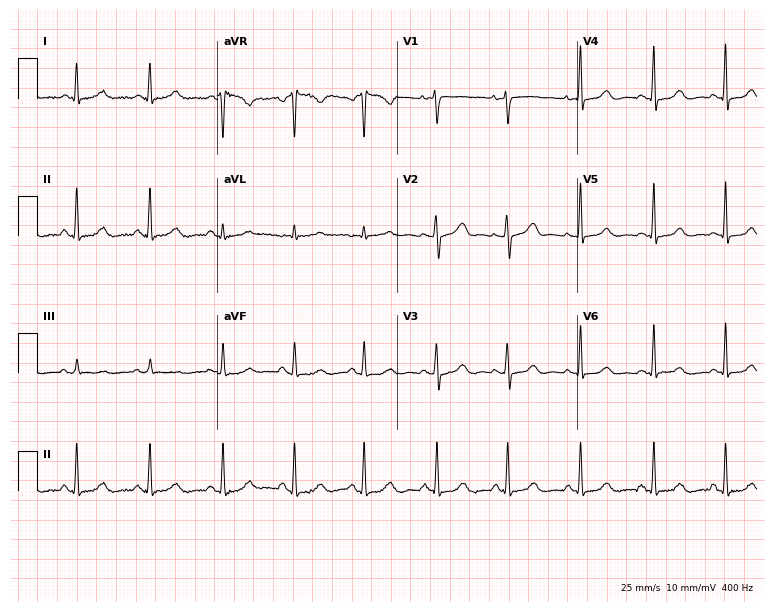
ECG — a 60-year-old female. Screened for six findings — first-degree AV block, right bundle branch block, left bundle branch block, sinus bradycardia, atrial fibrillation, sinus tachycardia — none is recorded.